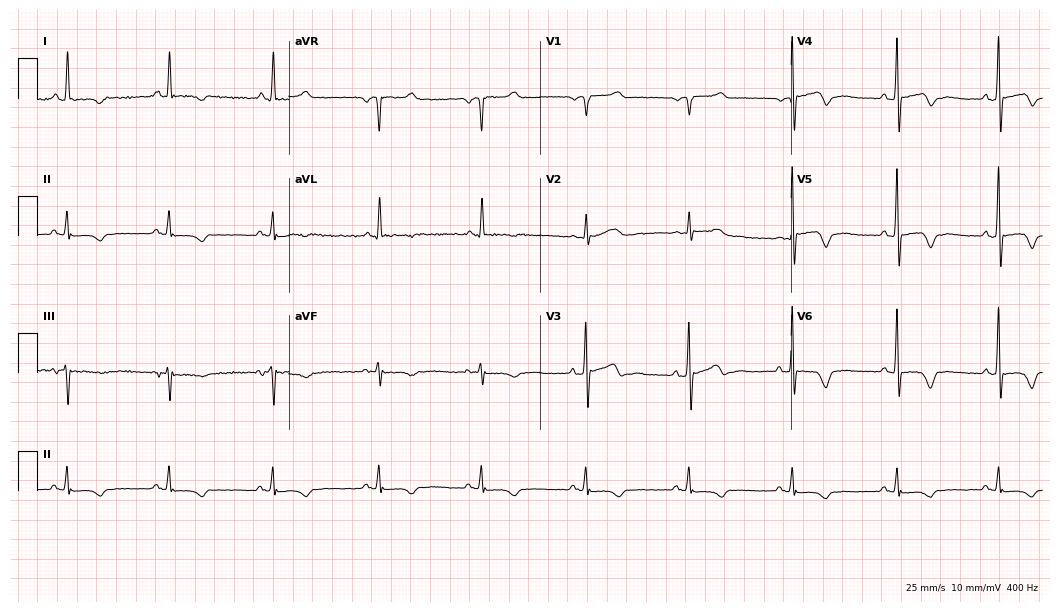
12-lead ECG from a 62-year-old female. Screened for six findings — first-degree AV block, right bundle branch block, left bundle branch block, sinus bradycardia, atrial fibrillation, sinus tachycardia — none is recorded.